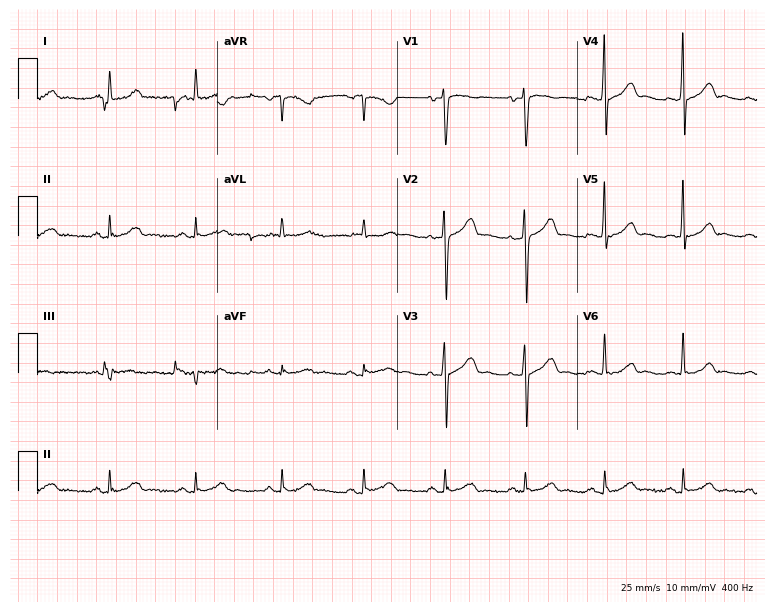
12-lead ECG from a male patient, 55 years old. Recorded interpretation: within normal limits.